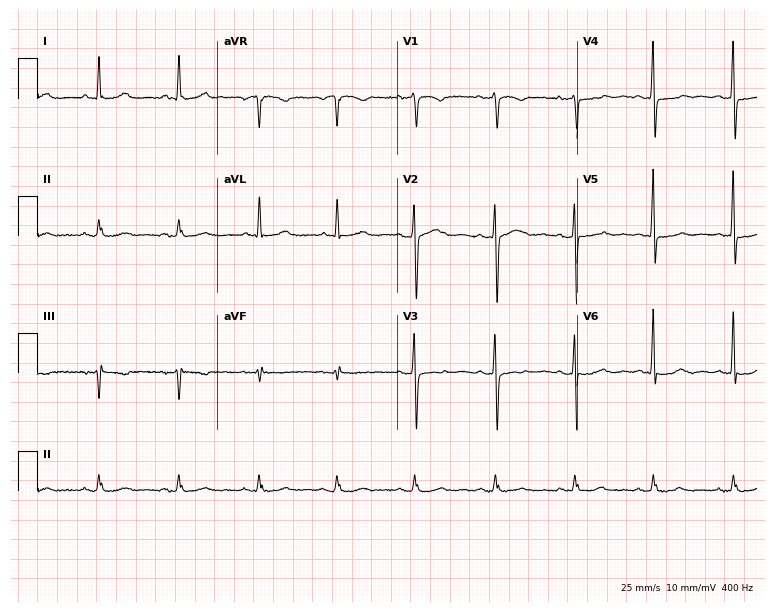
Resting 12-lead electrocardiogram. Patient: a 62-year-old female. None of these six findings is recorded: first-degree AV block, right bundle branch block, left bundle branch block, sinus bradycardia, atrial fibrillation, sinus tachycardia. Only these six findings were labelled.